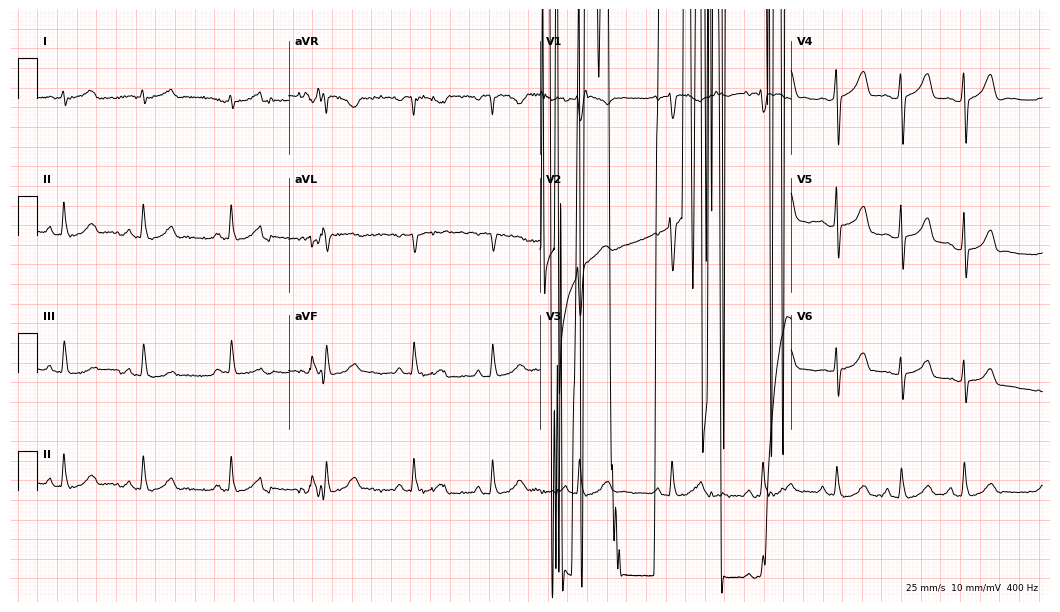
Standard 12-lead ECG recorded from a 25-year-old female patient. None of these six findings is recorded: first-degree AV block, right bundle branch block (RBBB), left bundle branch block (LBBB), sinus bradycardia, atrial fibrillation (AF), sinus tachycardia.